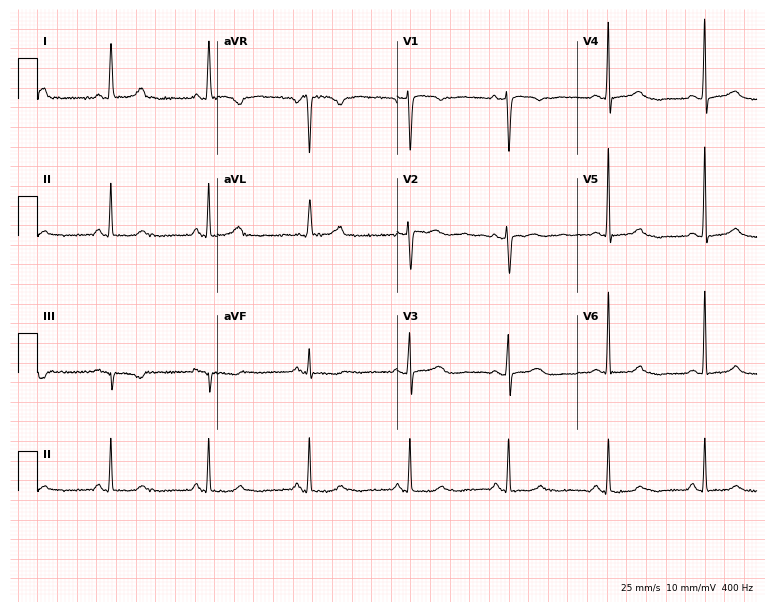
12-lead ECG from a female patient, 52 years old. Screened for six findings — first-degree AV block, right bundle branch block, left bundle branch block, sinus bradycardia, atrial fibrillation, sinus tachycardia — none is recorded. Only these six findings were labelled.